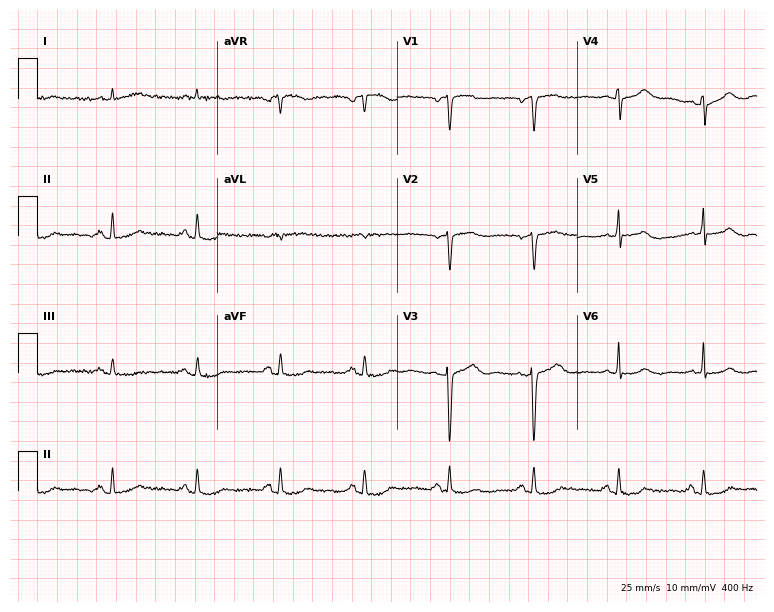
Resting 12-lead electrocardiogram. Patient: a female, 76 years old. None of these six findings is recorded: first-degree AV block, right bundle branch block, left bundle branch block, sinus bradycardia, atrial fibrillation, sinus tachycardia.